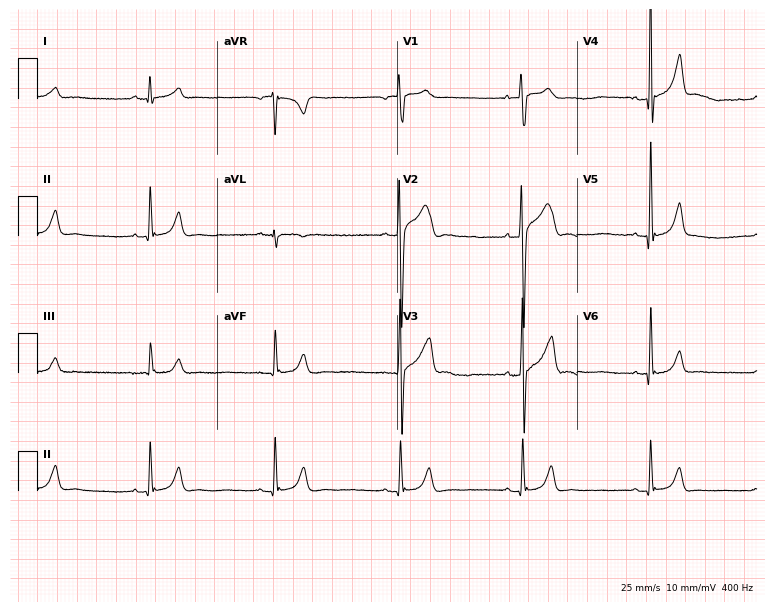
12-lead ECG from a male, 18 years old (7.3-second recording at 400 Hz). Shows sinus bradycardia (a sinus rate of 50 beats per minute or less).